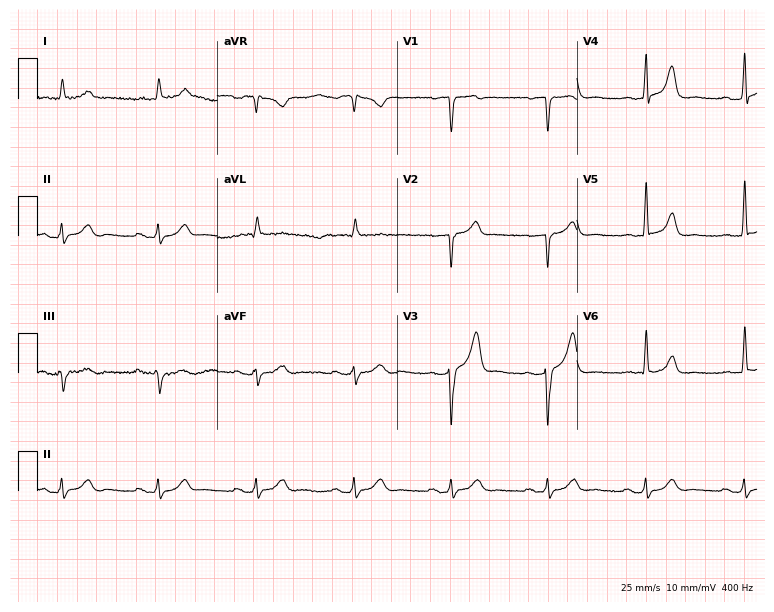
Standard 12-lead ECG recorded from a man, 81 years old. None of these six findings is recorded: first-degree AV block, right bundle branch block (RBBB), left bundle branch block (LBBB), sinus bradycardia, atrial fibrillation (AF), sinus tachycardia. Only these six findings were labelled.